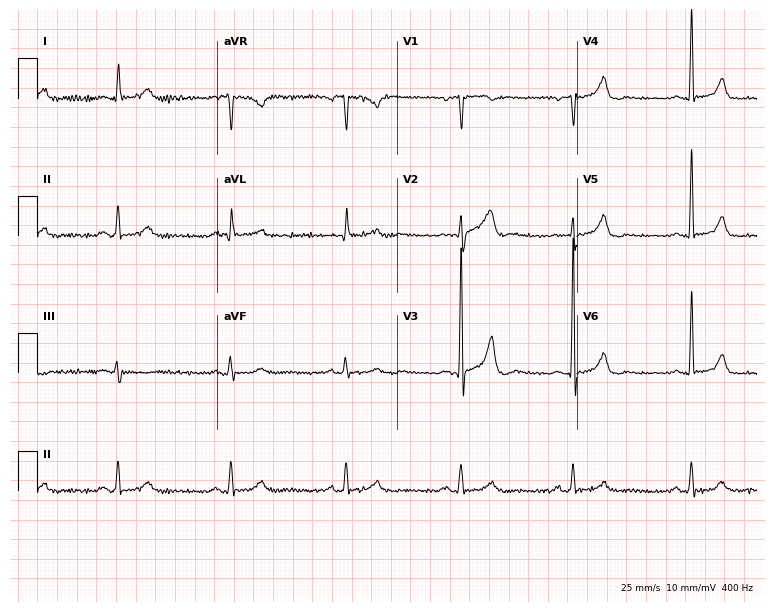
ECG — a 68-year-old male patient. Labelled as a normal ECG.